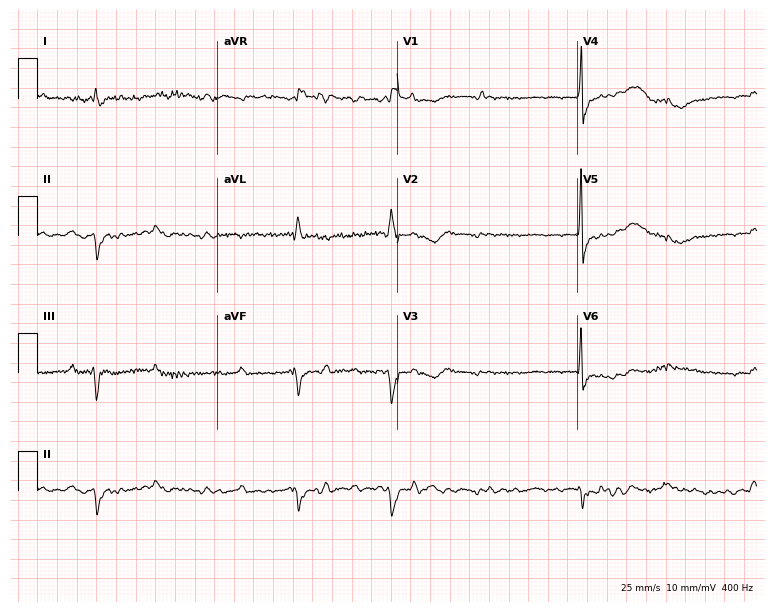
12-lead ECG from a man, 69 years old (7.3-second recording at 400 Hz). Shows right bundle branch block, atrial fibrillation.